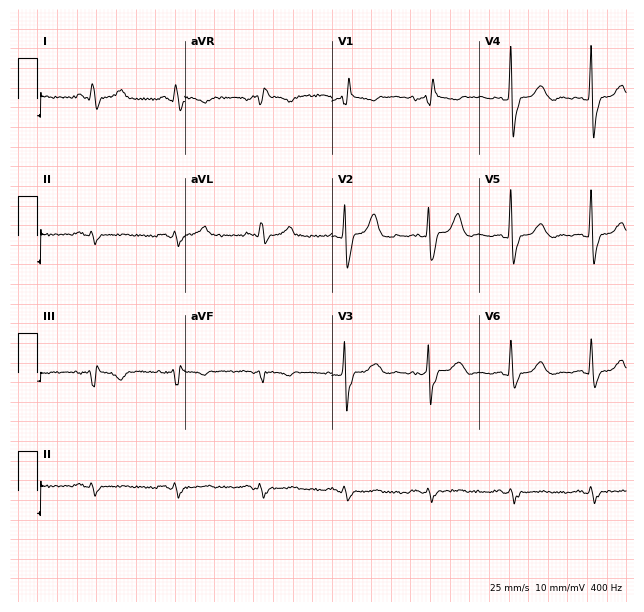
12-lead ECG from a 65-year-old female patient. Screened for six findings — first-degree AV block, right bundle branch block, left bundle branch block, sinus bradycardia, atrial fibrillation, sinus tachycardia — none is recorded.